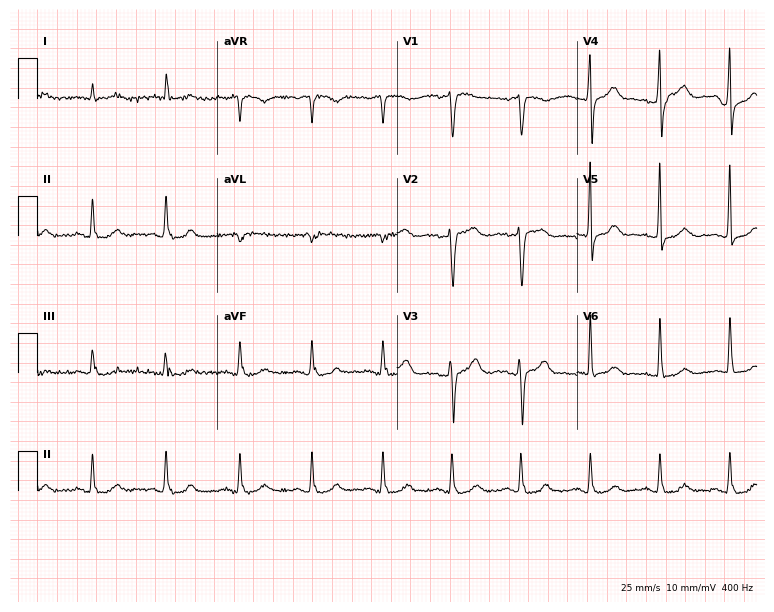
Electrocardiogram, a male patient, 61 years old. Overall reading on record: normal ECG.